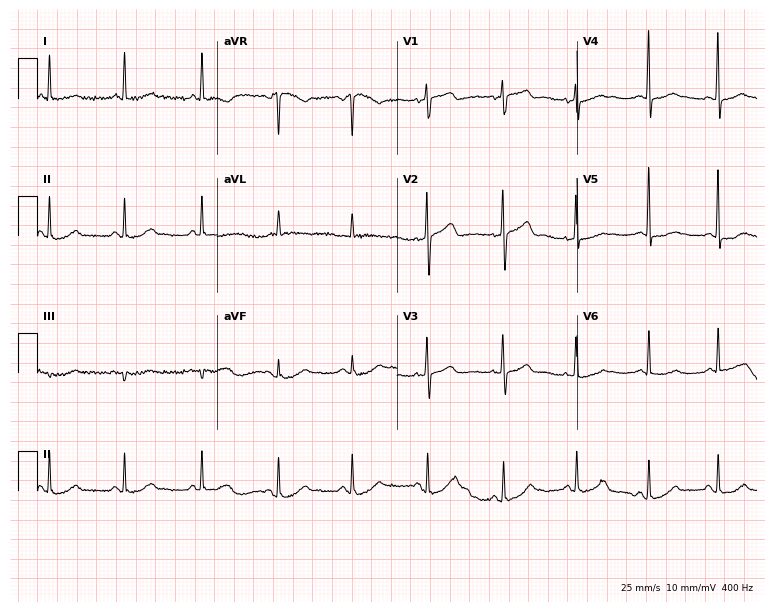
Electrocardiogram (7.3-second recording at 400 Hz), an 85-year-old female. Of the six screened findings (first-degree AV block, right bundle branch block, left bundle branch block, sinus bradycardia, atrial fibrillation, sinus tachycardia), none is recorded. Findings outside these six are not listed.